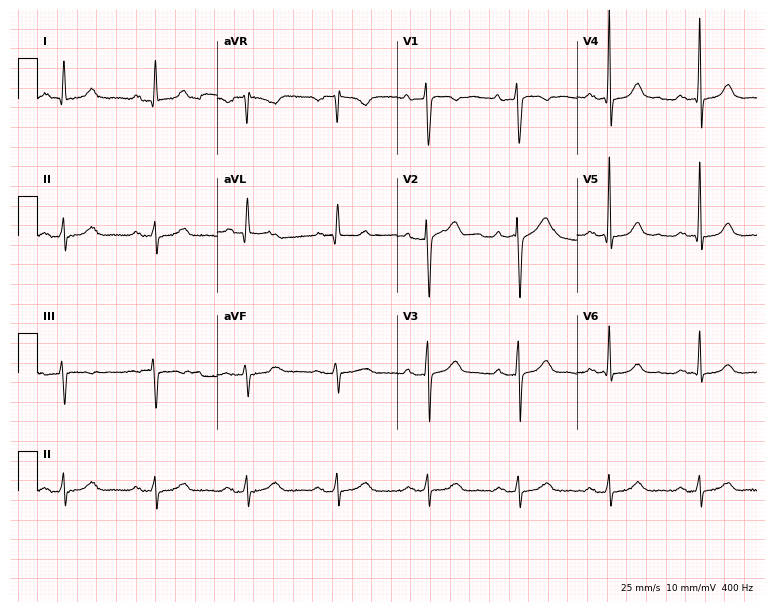
12-lead ECG from a female patient, 71 years old. Shows first-degree AV block.